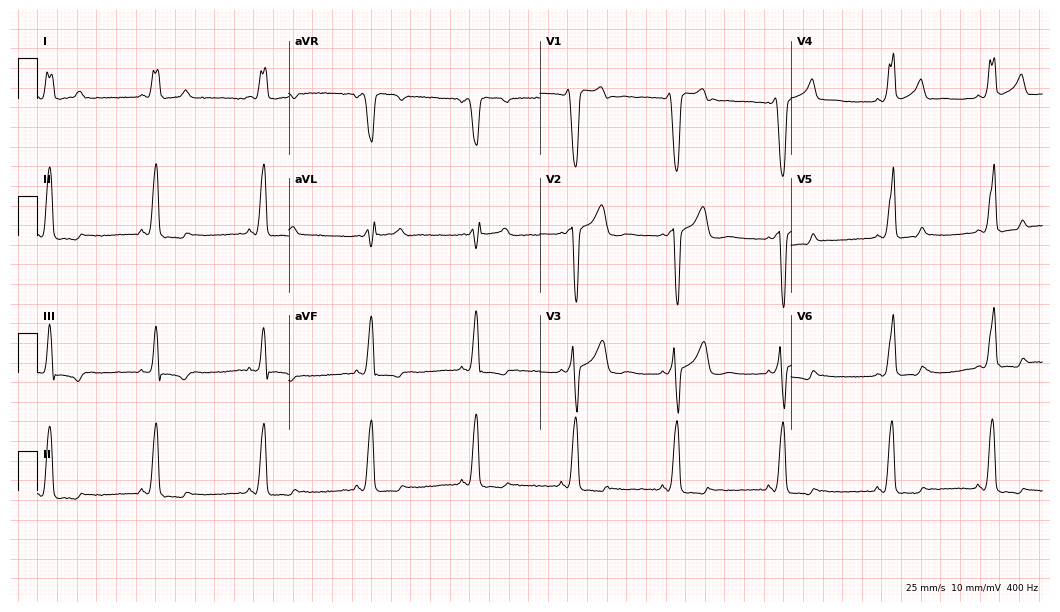
ECG (10.2-second recording at 400 Hz) — a man, 29 years old. Screened for six findings — first-degree AV block, right bundle branch block (RBBB), left bundle branch block (LBBB), sinus bradycardia, atrial fibrillation (AF), sinus tachycardia — none is recorded. Findings outside these six are not listed.